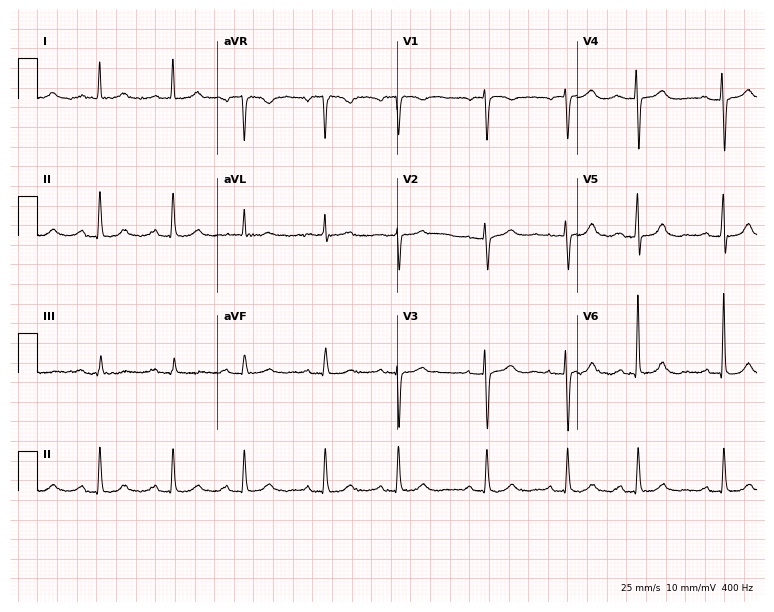
12-lead ECG from an 85-year-old female patient. Labelled as a normal ECG.